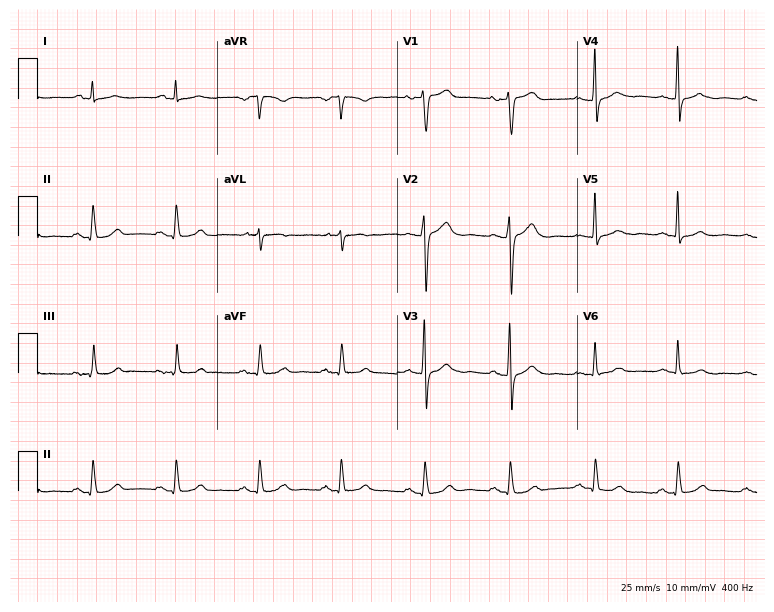
Electrocardiogram (7.3-second recording at 400 Hz), a male, 50 years old. Of the six screened findings (first-degree AV block, right bundle branch block (RBBB), left bundle branch block (LBBB), sinus bradycardia, atrial fibrillation (AF), sinus tachycardia), none is recorded.